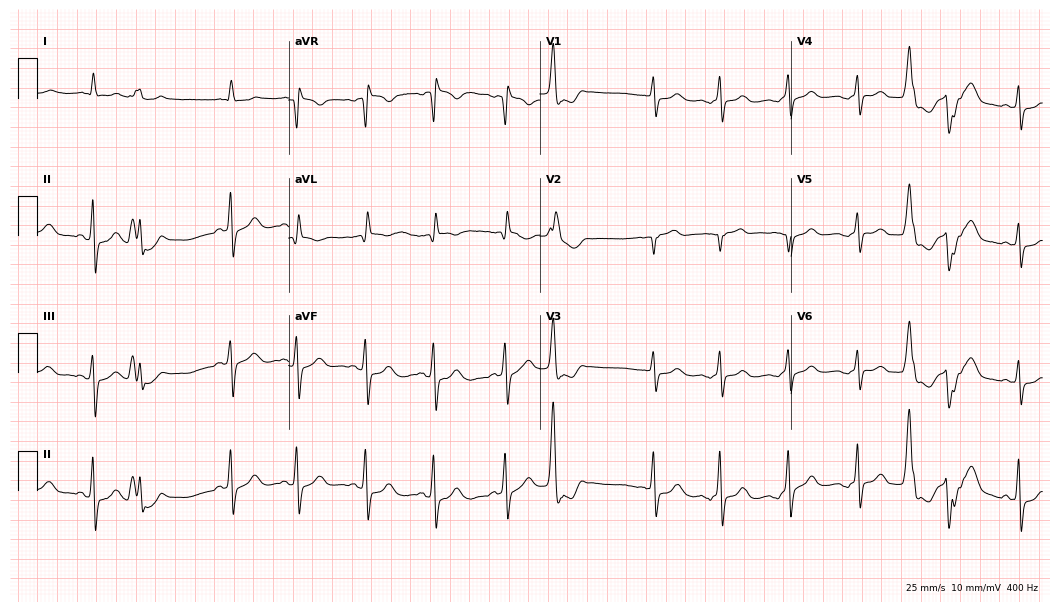
12-lead ECG from a male patient, 72 years old. No first-degree AV block, right bundle branch block (RBBB), left bundle branch block (LBBB), sinus bradycardia, atrial fibrillation (AF) or sinus tachycardia recorded for this tracing. Findings outside these six are not listed.